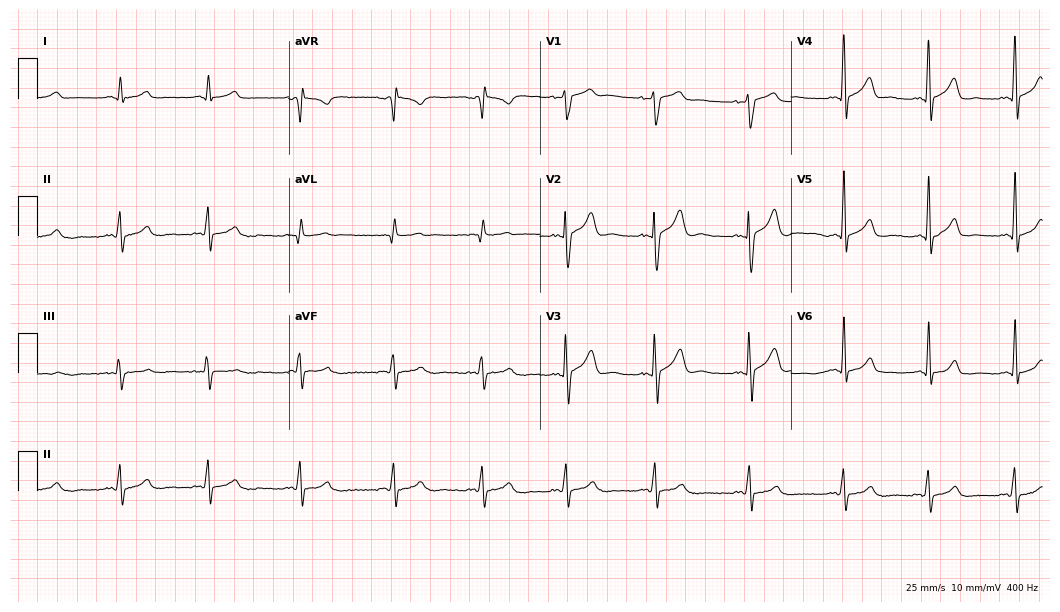
ECG (10.2-second recording at 400 Hz) — a man, 21 years old. Labelled as a normal ECG.